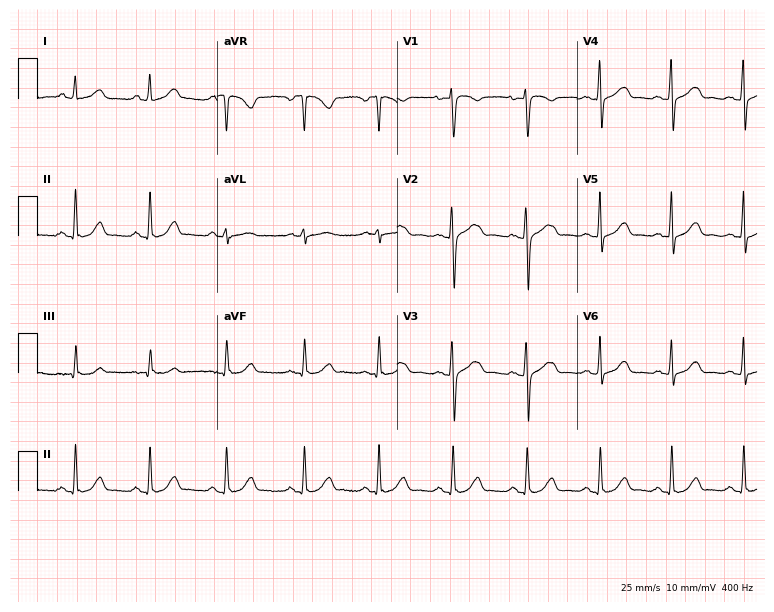
12-lead ECG from a 31-year-old female patient. Labelled as a normal ECG.